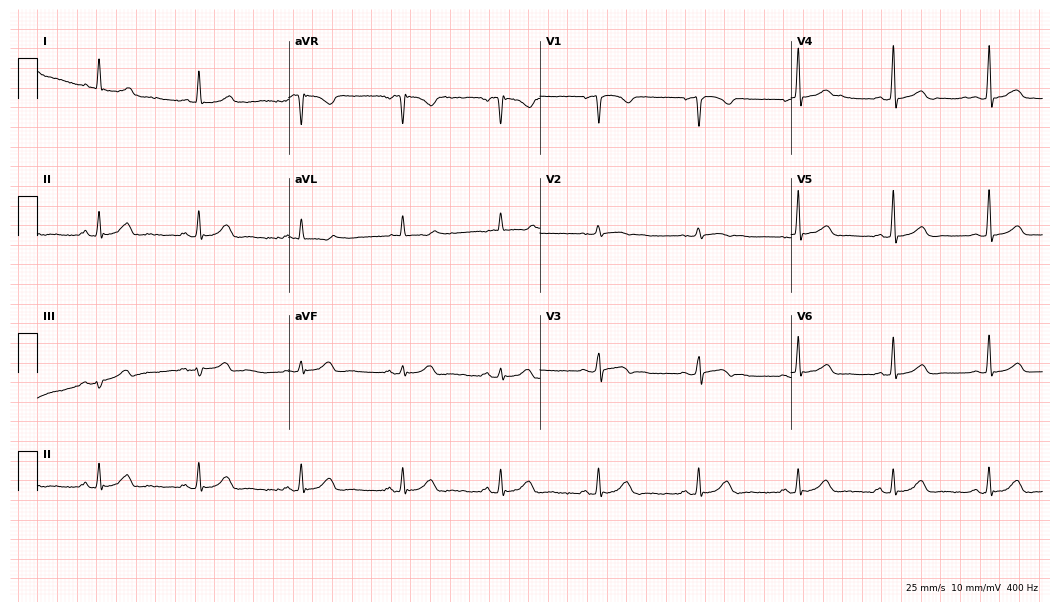
12-lead ECG from a female, 61 years old. Recorded interpretation: within normal limits.